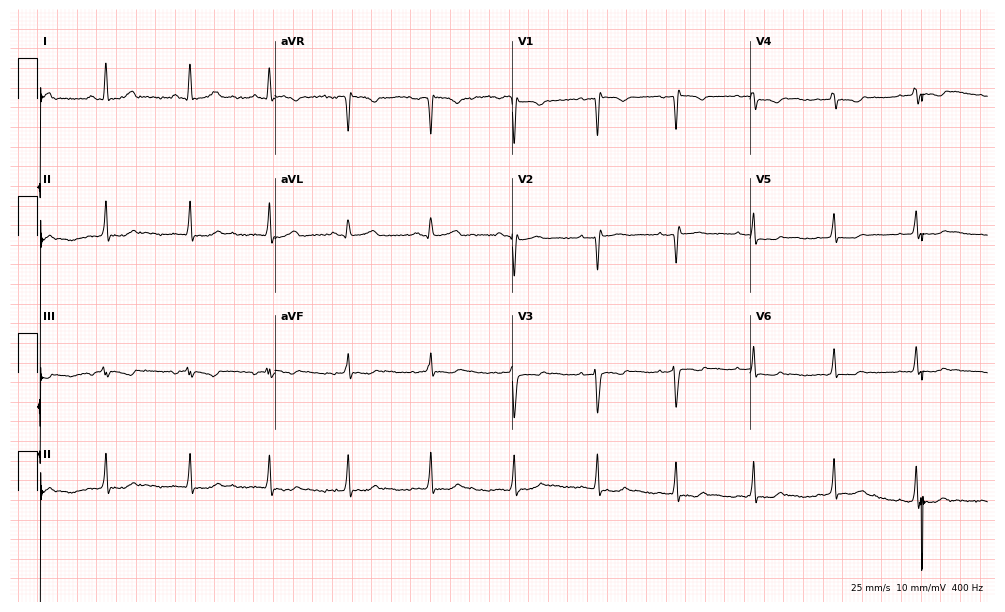
Standard 12-lead ECG recorded from a woman, 29 years old. None of these six findings is recorded: first-degree AV block, right bundle branch block, left bundle branch block, sinus bradycardia, atrial fibrillation, sinus tachycardia.